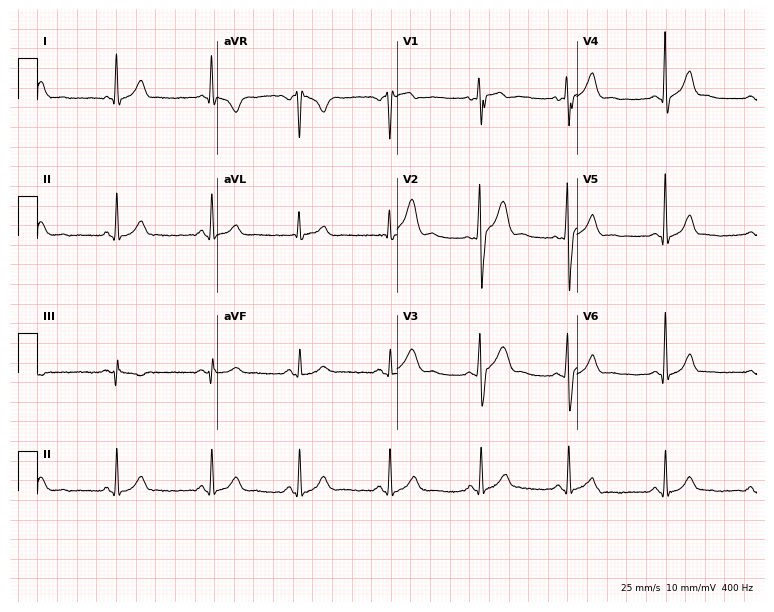
Standard 12-lead ECG recorded from a 26-year-old male patient (7.3-second recording at 400 Hz). Read as a normal ECG.